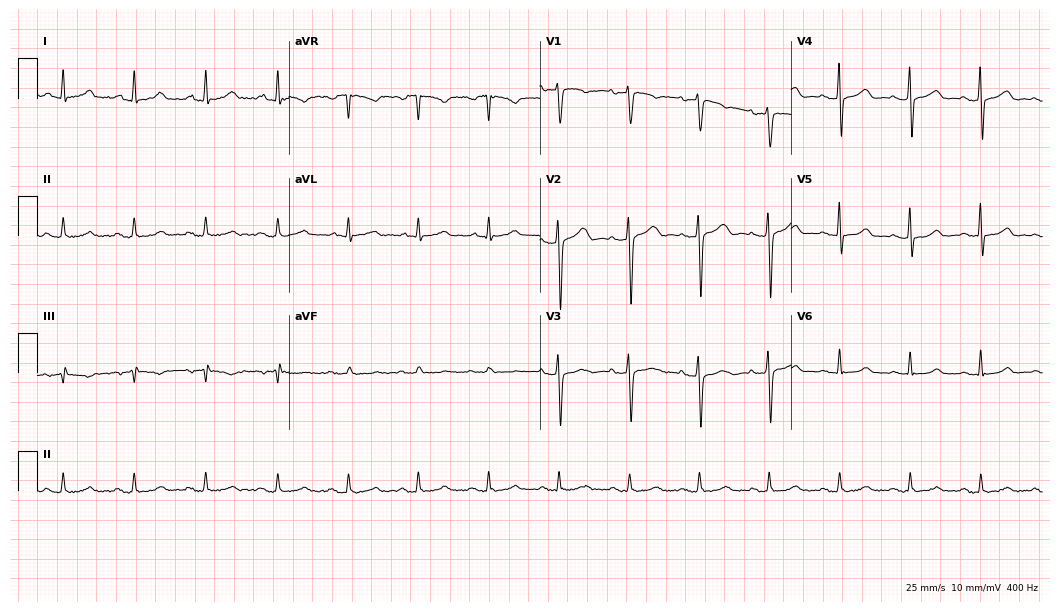
12-lead ECG (10.2-second recording at 400 Hz) from a female, 46 years old. Labelled as a normal ECG.